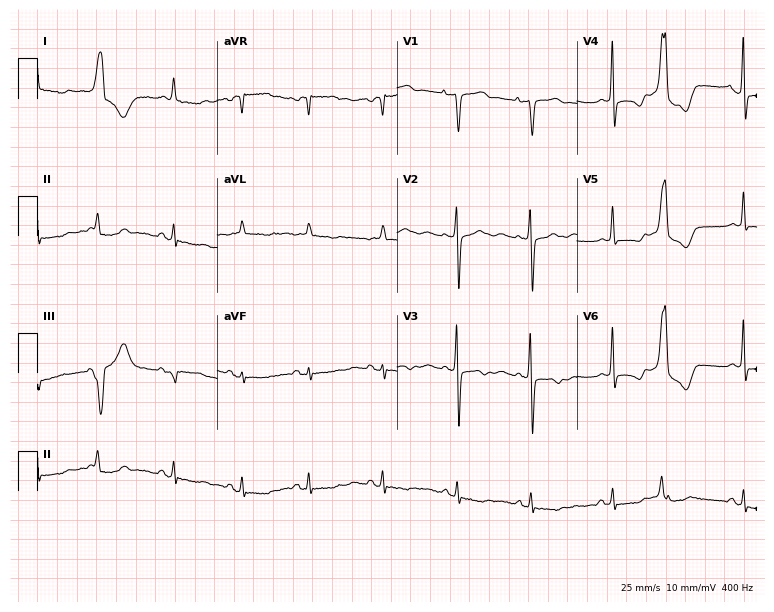
12-lead ECG from an 83-year-old female patient. No first-degree AV block, right bundle branch block, left bundle branch block, sinus bradycardia, atrial fibrillation or sinus tachycardia recorded for this tracing.